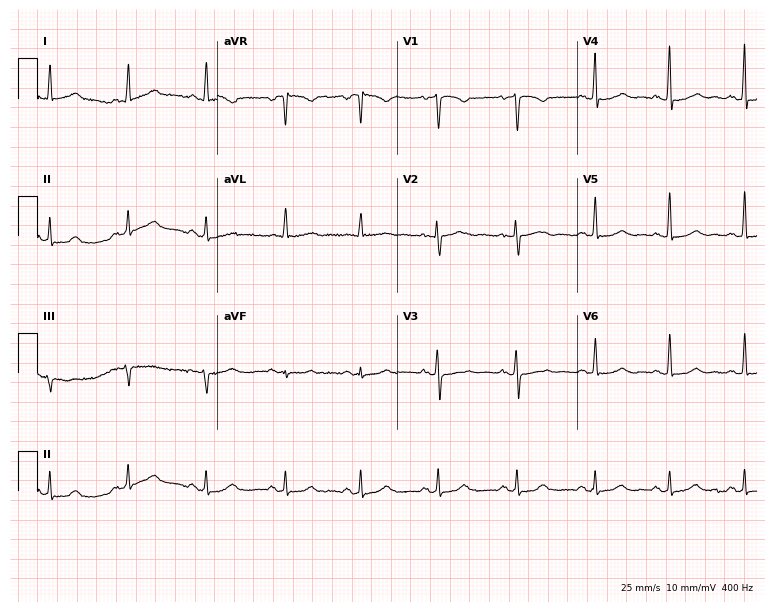
12-lead ECG from a 57-year-old female. Labelled as a normal ECG.